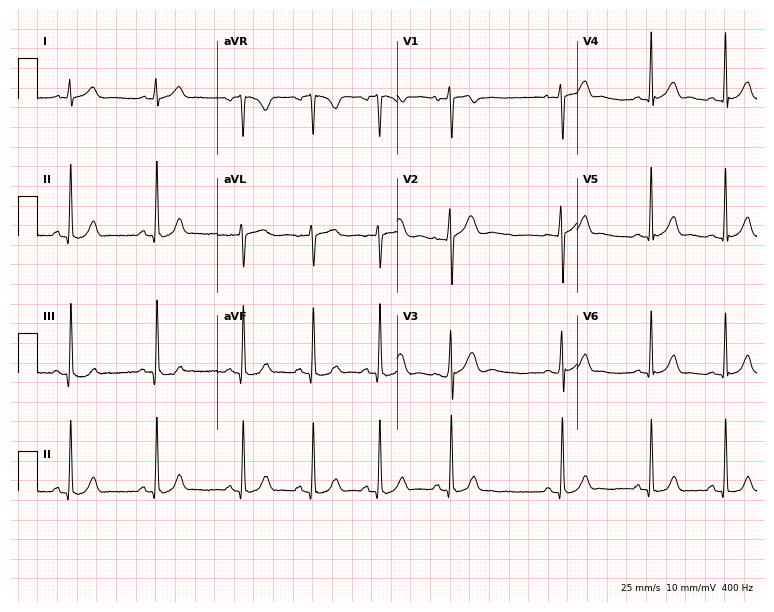
Electrocardiogram (7.3-second recording at 400 Hz), a female, 20 years old. Overall reading on record: normal ECG.